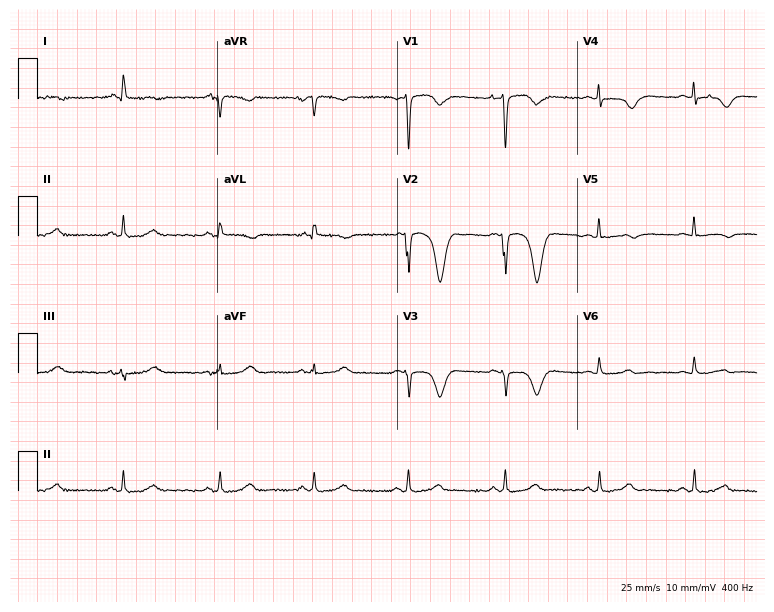
12-lead ECG (7.3-second recording at 400 Hz) from a 68-year-old female. Screened for six findings — first-degree AV block, right bundle branch block, left bundle branch block, sinus bradycardia, atrial fibrillation, sinus tachycardia — none is recorded. Findings outside these six are not listed.